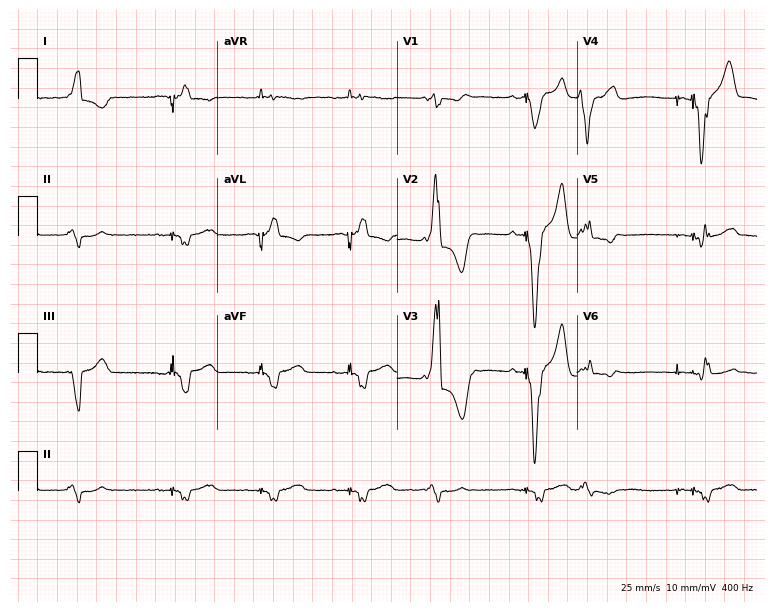
12-lead ECG (7.3-second recording at 400 Hz) from a 69-year-old male. Screened for six findings — first-degree AV block, right bundle branch block, left bundle branch block, sinus bradycardia, atrial fibrillation, sinus tachycardia — none is recorded.